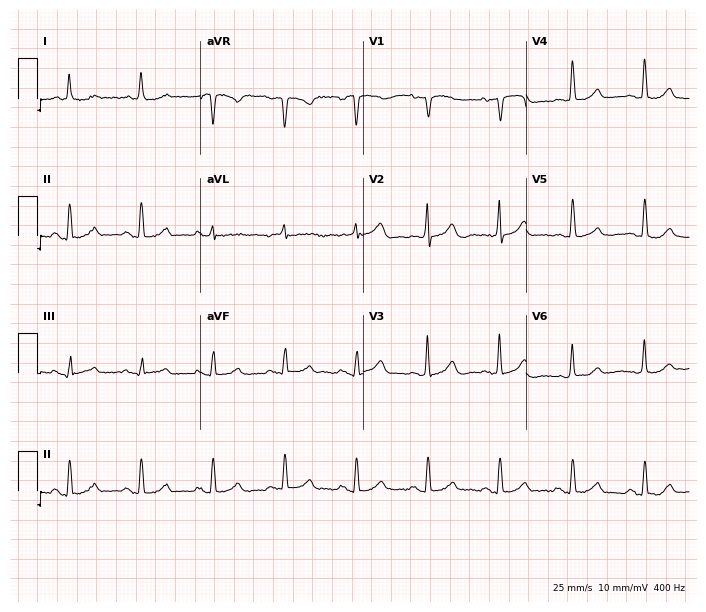
Resting 12-lead electrocardiogram (6.6-second recording at 400 Hz). Patient: a 66-year-old female. Read as a normal ECG.